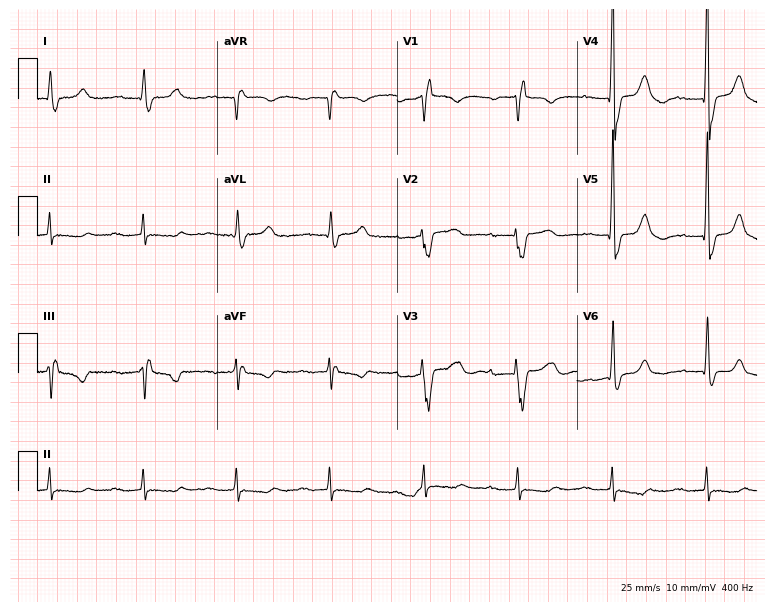
Electrocardiogram, an 85-year-old male. Of the six screened findings (first-degree AV block, right bundle branch block, left bundle branch block, sinus bradycardia, atrial fibrillation, sinus tachycardia), none is recorded. Only these six findings were labelled.